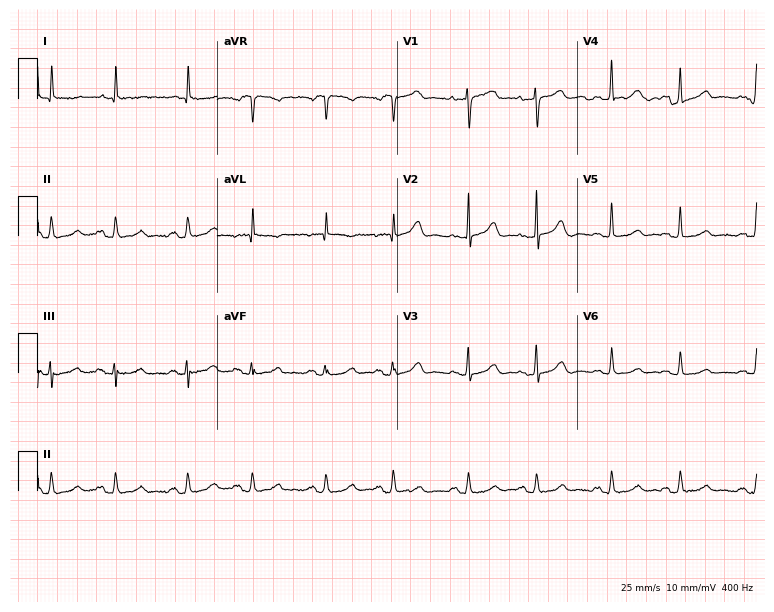
Electrocardiogram, an 84-year-old female patient. Of the six screened findings (first-degree AV block, right bundle branch block, left bundle branch block, sinus bradycardia, atrial fibrillation, sinus tachycardia), none is recorded.